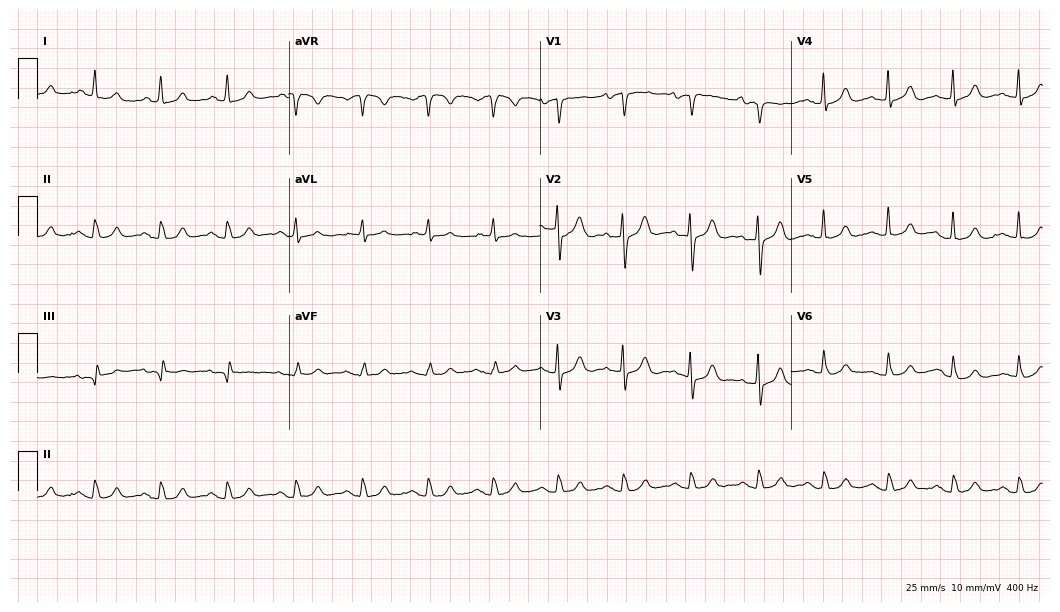
ECG — an 88-year-old male. Labelled as a normal ECG.